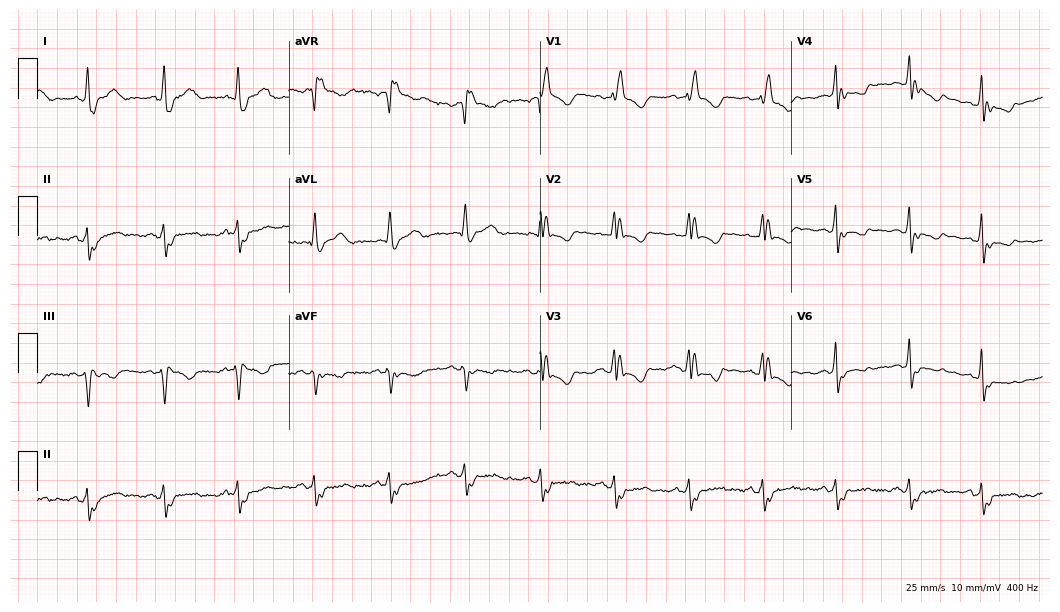
12-lead ECG from a 56-year-old woman. Shows right bundle branch block (RBBB).